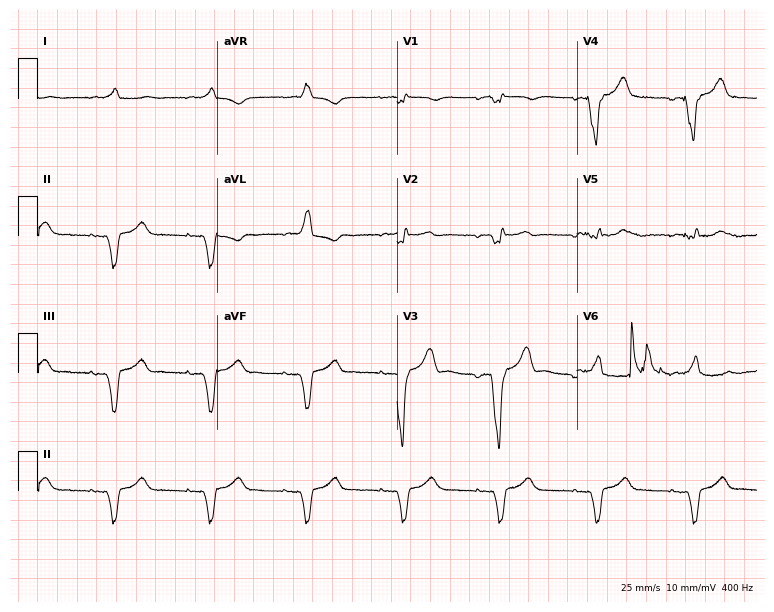
Electrocardiogram (7.3-second recording at 400 Hz), a male, 85 years old. Of the six screened findings (first-degree AV block, right bundle branch block (RBBB), left bundle branch block (LBBB), sinus bradycardia, atrial fibrillation (AF), sinus tachycardia), none is recorded.